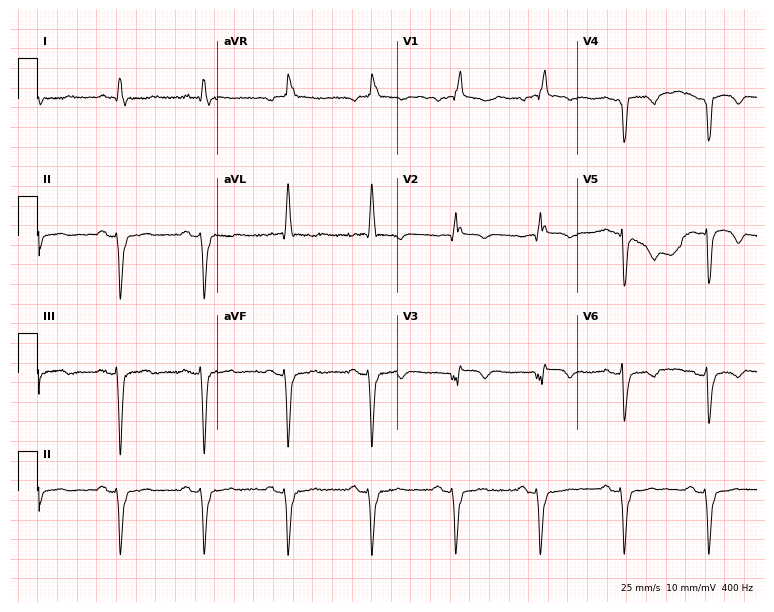
Resting 12-lead electrocardiogram. Patient: a male, 77 years old. The tracing shows right bundle branch block (RBBB).